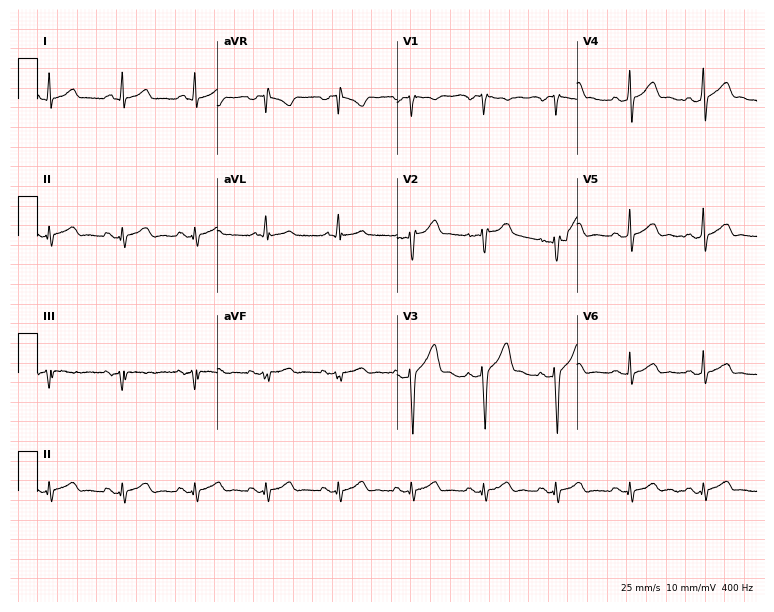
Resting 12-lead electrocardiogram. Patient: a 43-year-old male. None of these six findings is recorded: first-degree AV block, right bundle branch block, left bundle branch block, sinus bradycardia, atrial fibrillation, sinus tachycardia. Other findings, if any, are not listed.